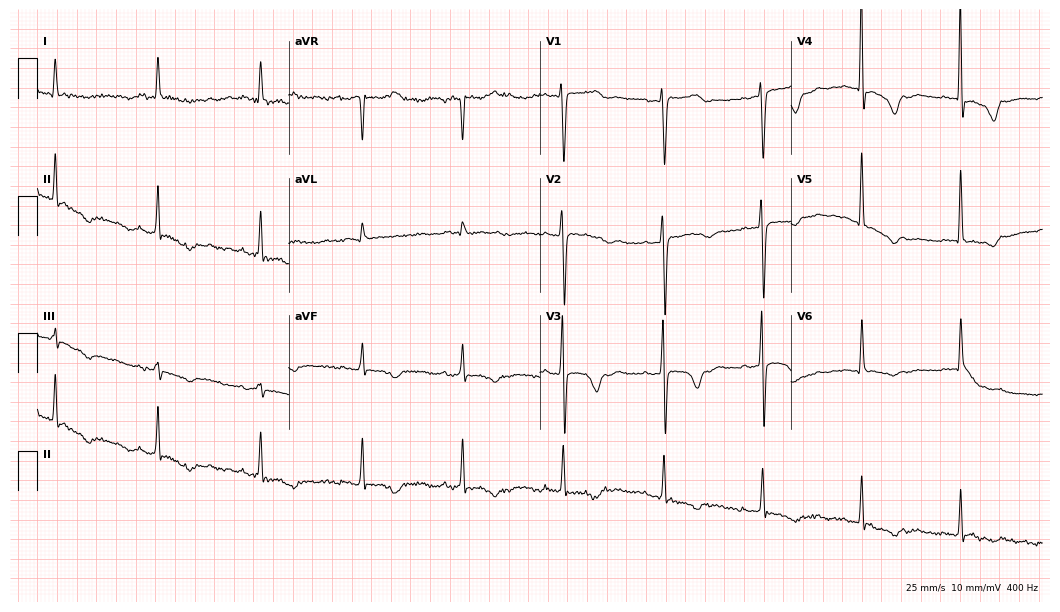
12-lead ECG (10.2-second recording at 400 Hz) from a 76-year-old female patient. Screened for six findings — first-degree AV block, right bundle branch block, left bundle branch block, sinus bradycardia, atrial fibrillation, sinus tachycardia — none is recorded.